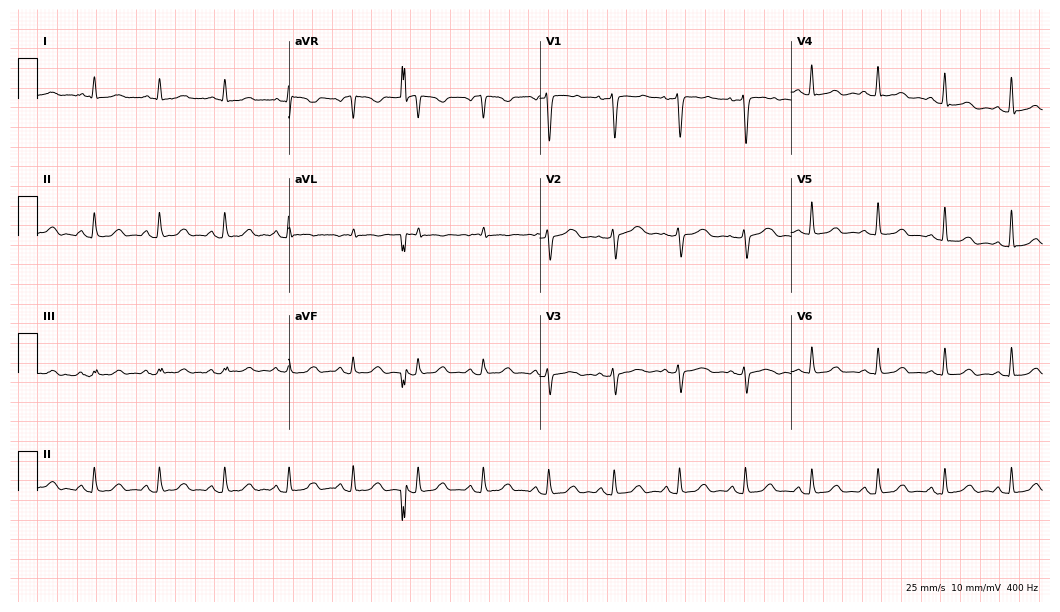
12-lead ECG from a female, 57 years old. Labelled as a normal ECG.